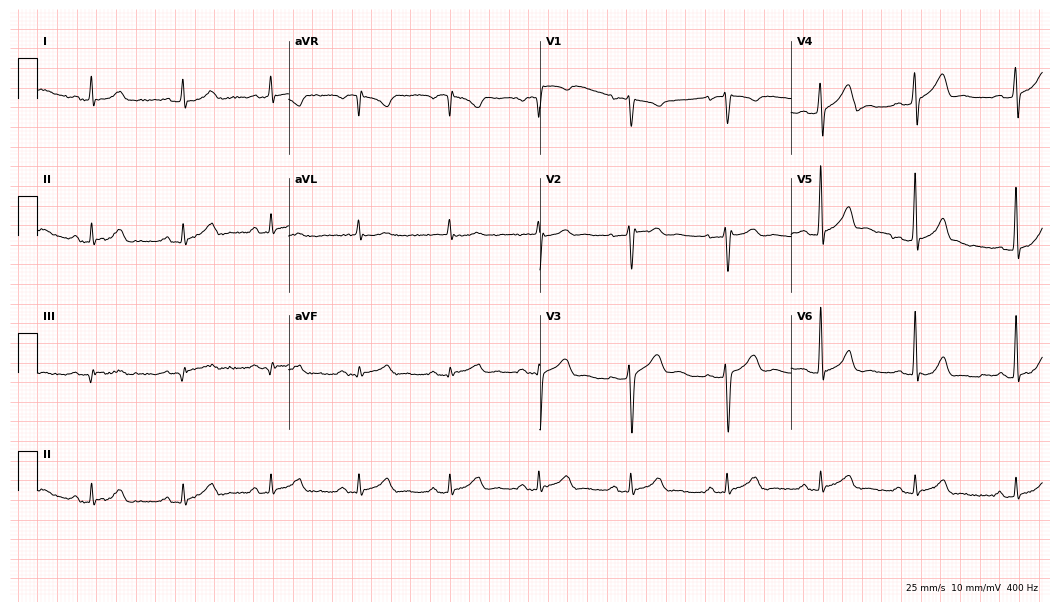
Resting 12-lead electrocardiogram. Patient: a 33-year-old male. Read as a normal ECG.